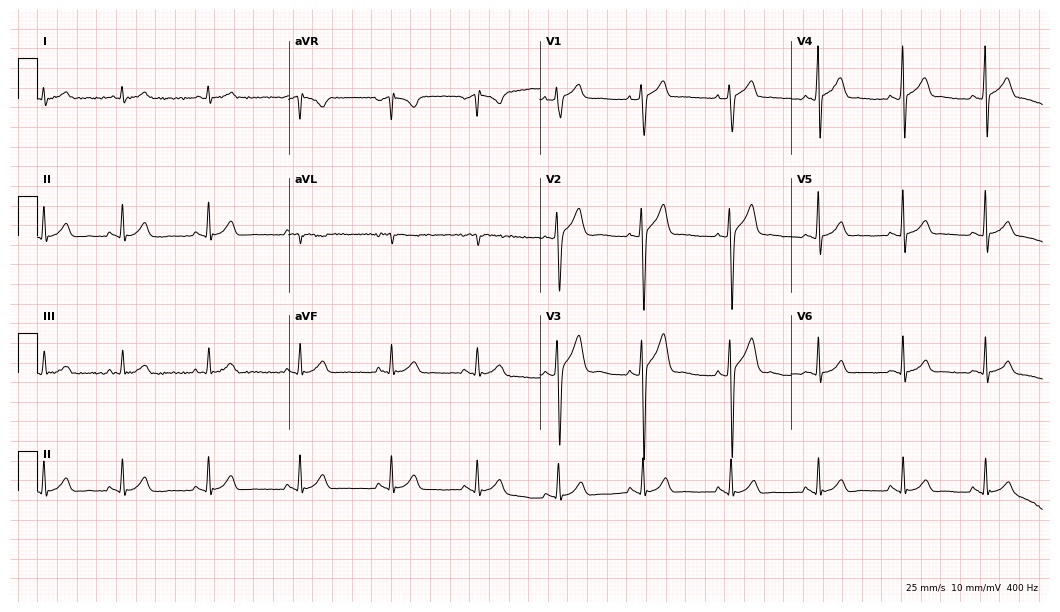
Resting 12-lead electrocardiogram (10.2-second recording at 400 Hz). Patient: a 23-year-old man. Read as a normal ECG.